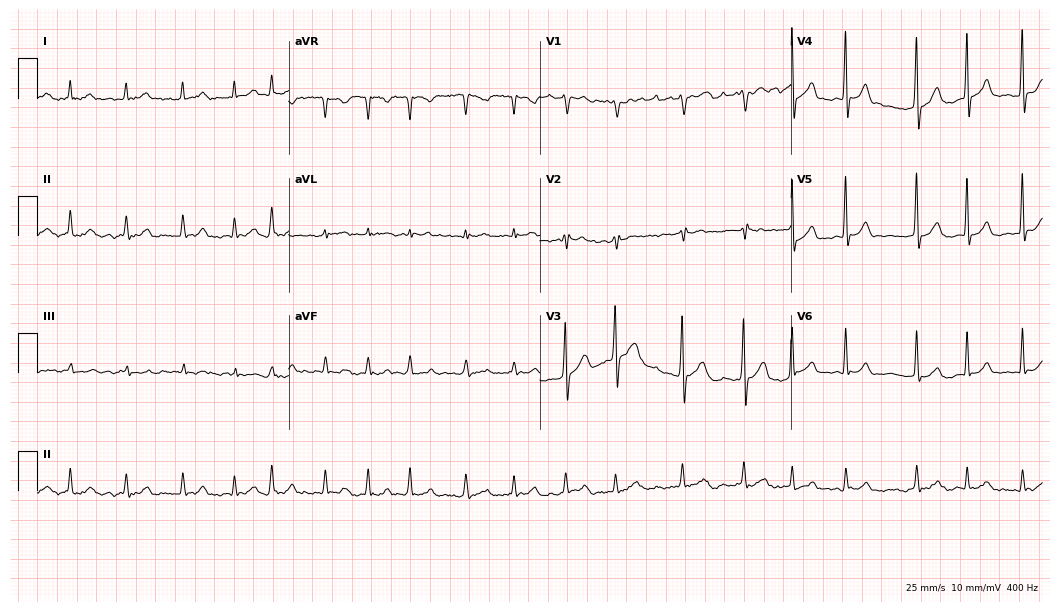
Standard 12-lead ECG recorded from a 52-year-old male patient (10.2-second recording at 400 Hz). The tracing shows atrial fibrillation.